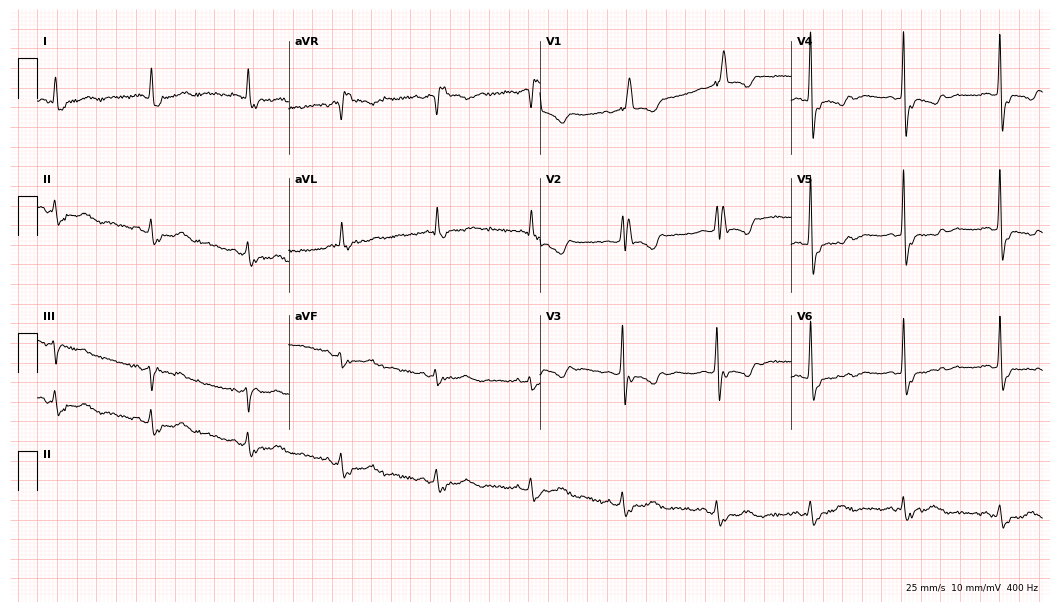
Standard 12-lead ECG recorded from a 74-year-old female patient (10.2-second recording at 400 Hz). None of these six findings is recorded: first-degree AV block, right bundle branch block, left bundle branch block, sinus bradycardia, atrial fibrillation, sinus tachycardia.